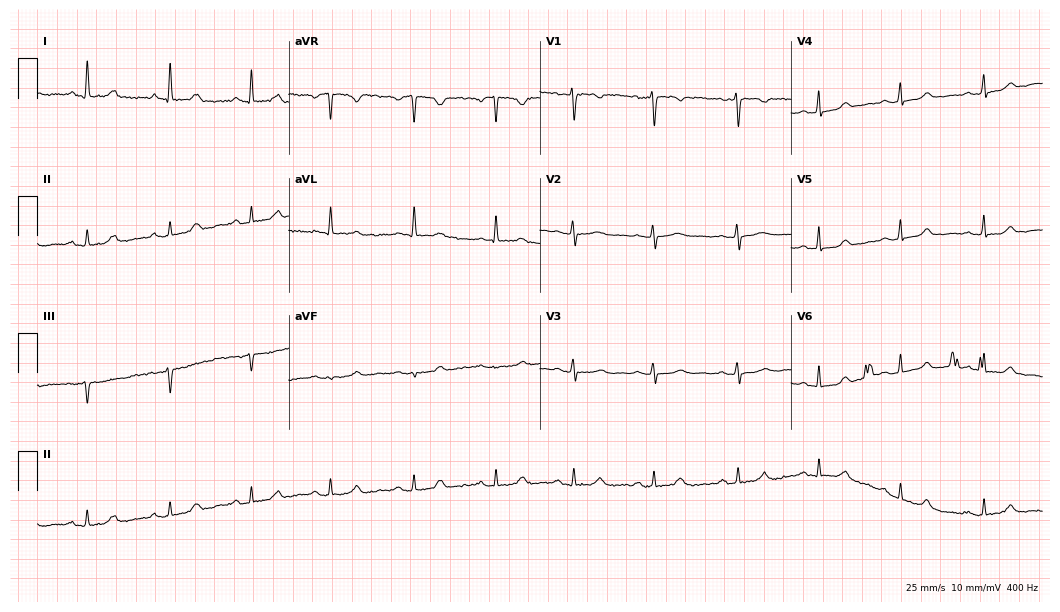
12-lead ECG (10.2-second recording at 400 Hz) from a 41-year-old female. Screened for six findings — first-degree AV block, right bundle branch block, left bundle branch block, sinus bradycardia, atrial fibrillation, sinus tachycardia — none is recorded.